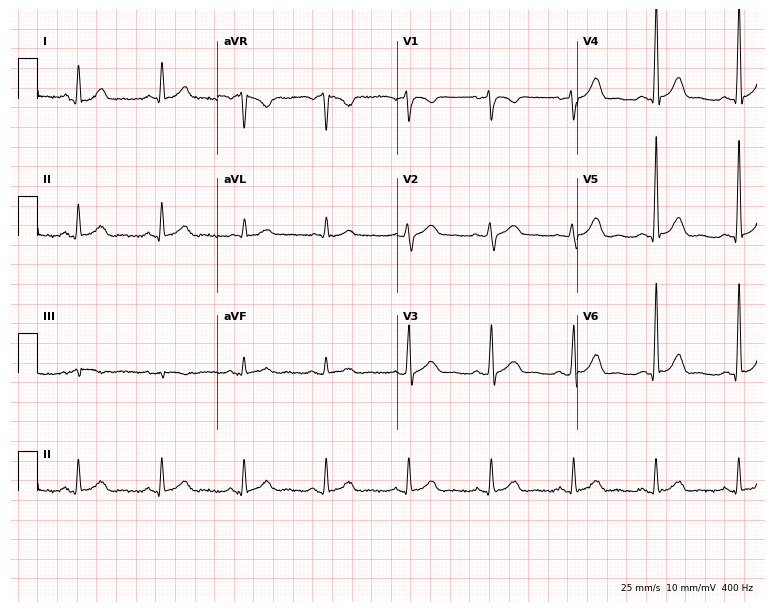
12-lead ECG from a male, 55 years old. Labelled as a normal ECG.